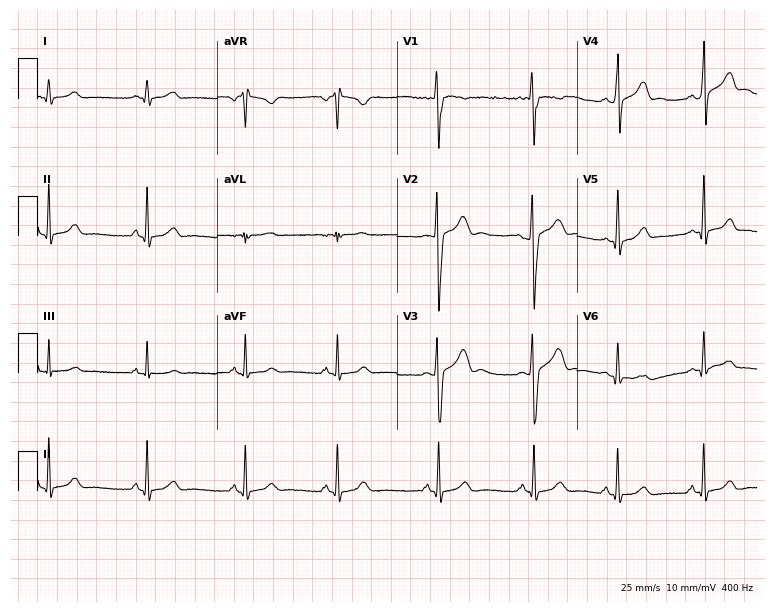
Standard 12-lead ECG recorded from a 19-year-old male. Read as a normal ECG.